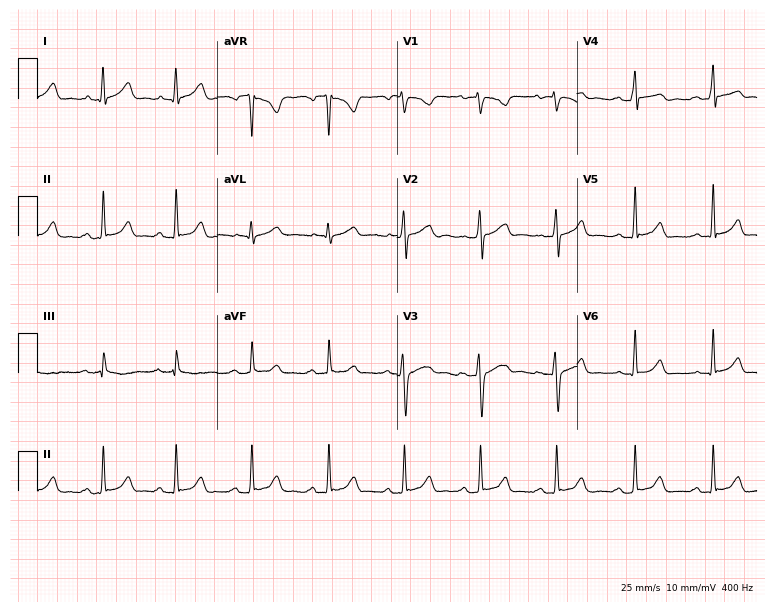
Resting 12-lead electrocardiogram. Patient: a woman, 18 years old. Read as a normal ECG.